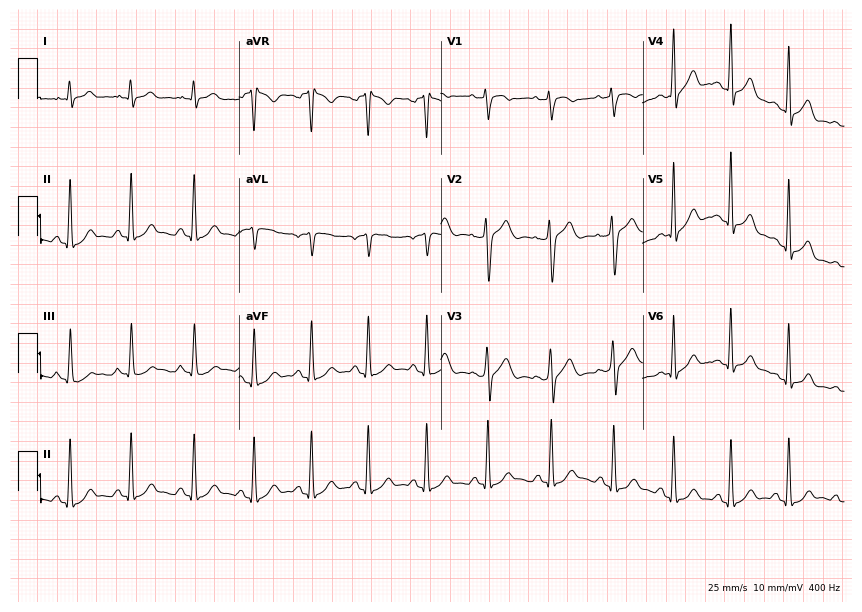
12-lead ECG from a 26-year-old female. No first-degree AV block, right bundle branch block, left bundle branch block, sinus bradycardia, atrial fibrillation or sinus tachycardia recorded for this tracing.